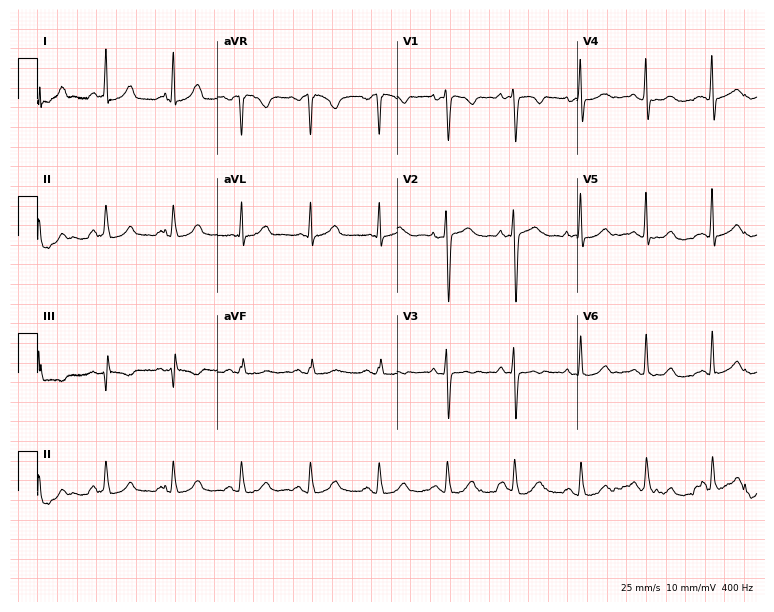
Standard 12-lead ECG recorded from a female patient, 58 years old. Read as a normal ECG.